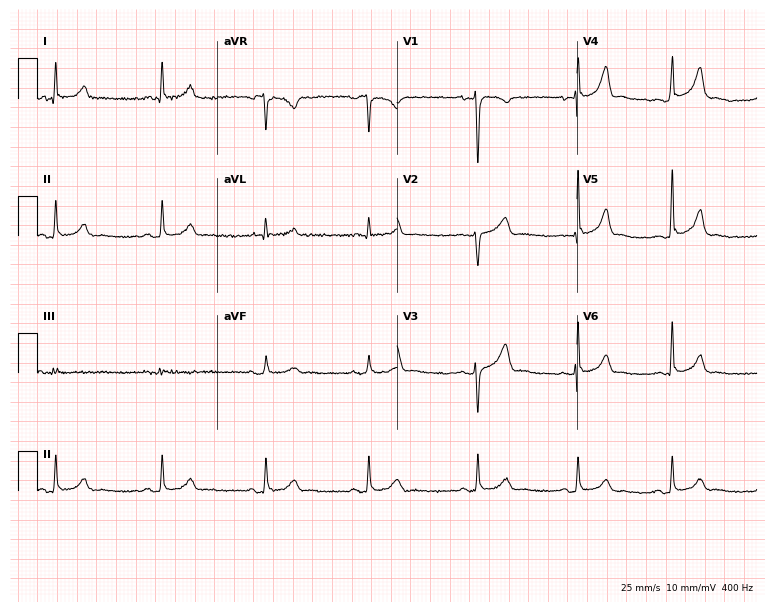
12-lead ECG (7.3-second recording at 400 Hz) from a woman, 31 years old. Labelled as a normal ECG.